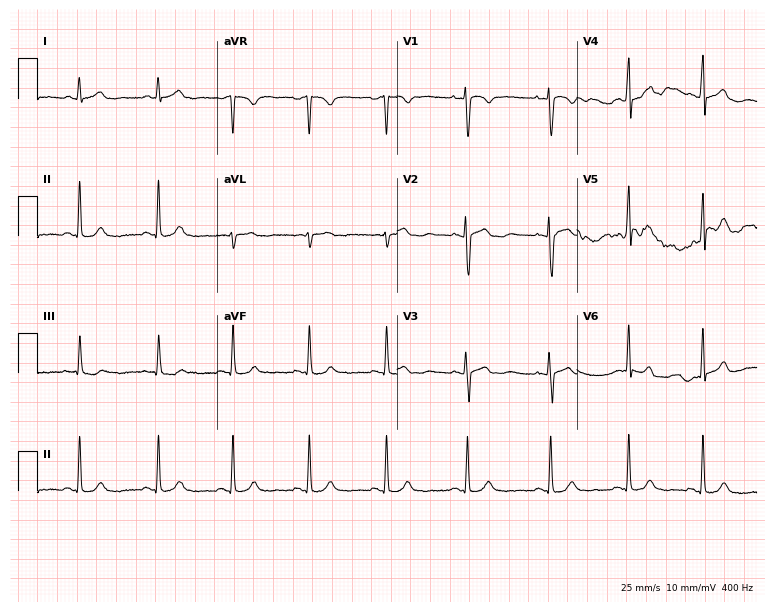
Standard 12-lead ECG recorded from a 26-year-old woman. None of these six findings is recorded: first-degree AV block, right bundle branch block, left bundle branch block, sinus bradycardia, atrial fibrillation, sinus tachycardia.